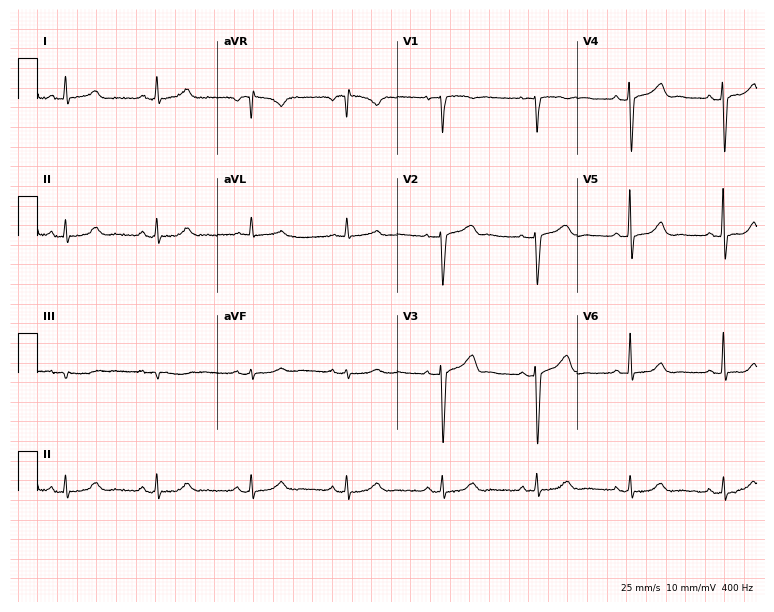
Standard 12-lead ECG recorded from a 54-year-old woman (7.3-second recording at 400 Hz). Read as a normal ECG.